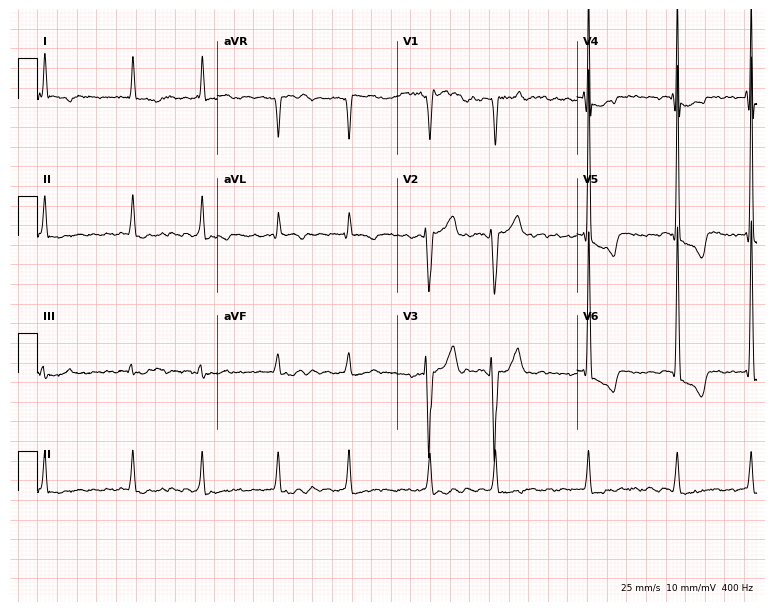
12-lead ECG (7.3-second recording at 400 Hz) from a female patient, 69 years old. Findings include atrial fibrillation (AF).